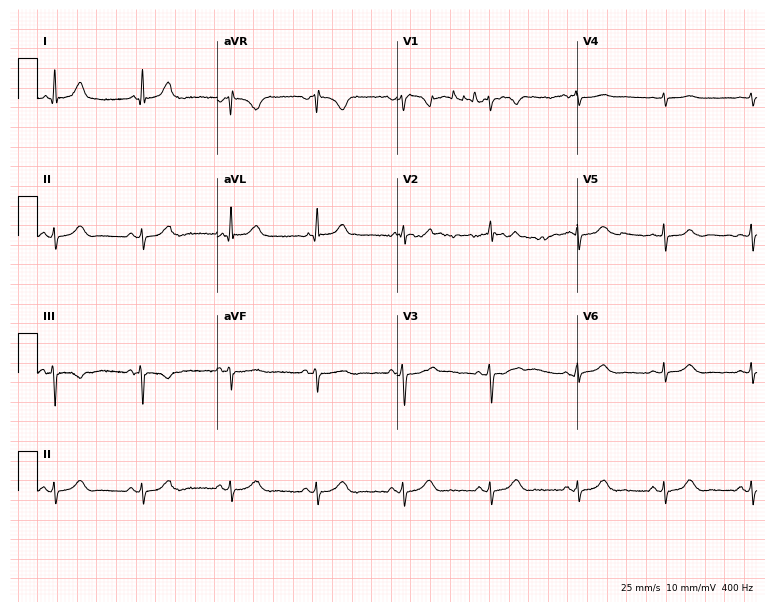
ECG (7.3-second recording at 400 Hz) — a 45-year-old female patient. Screened for six findings — first-degree AV block, right bundle branch block, left bundle branch block, sinus bradycardia, atrial fibrillation, sinus tachycardia — none is recorded. Other findings, if any, are not listed.